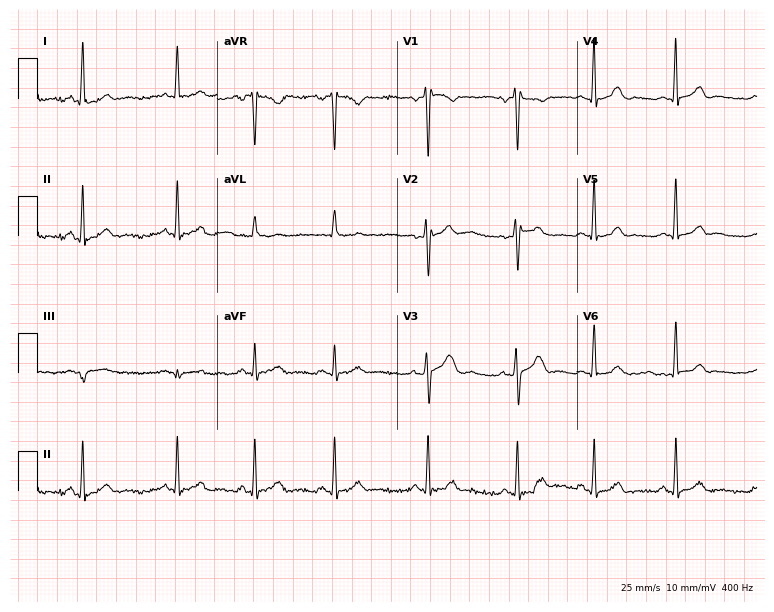
Standard 12-lead ECG recorded from a 31-year-old woman (7.3-second recording at 400 Hz). None of these six findings is recorded: first-degree AV block, right bundle branch block, left bundle branch block, sinus bradycardia, atrial fibrillation, sinus tachycardia. Findings outside these six are not listed.